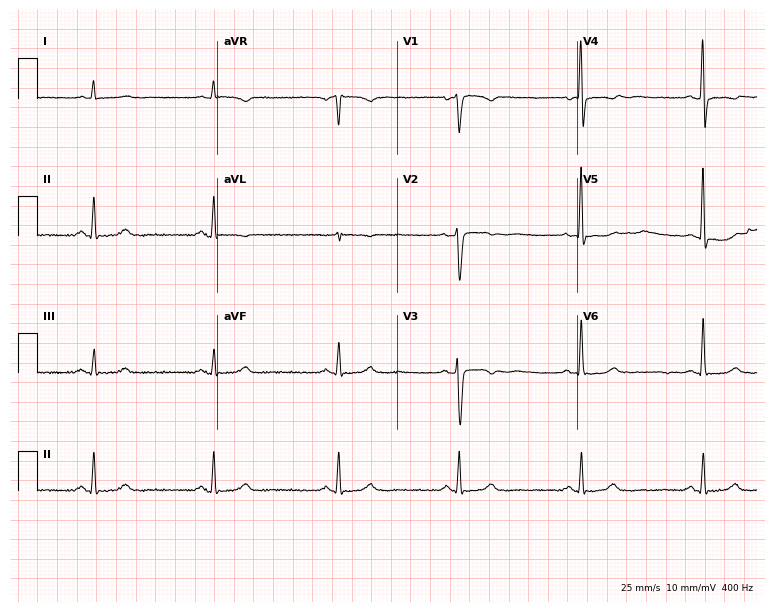
Electrocardiogram (7.3-second recording at 400 Hz), a 51-year-old male. Of the six screened findings (first-degree AV block, right bundle branch block, left bundle branch block, sinus bradycardia, atrial fibrillation, sinus tachycardia), none is recorded. Other findings, if any, are not listed.